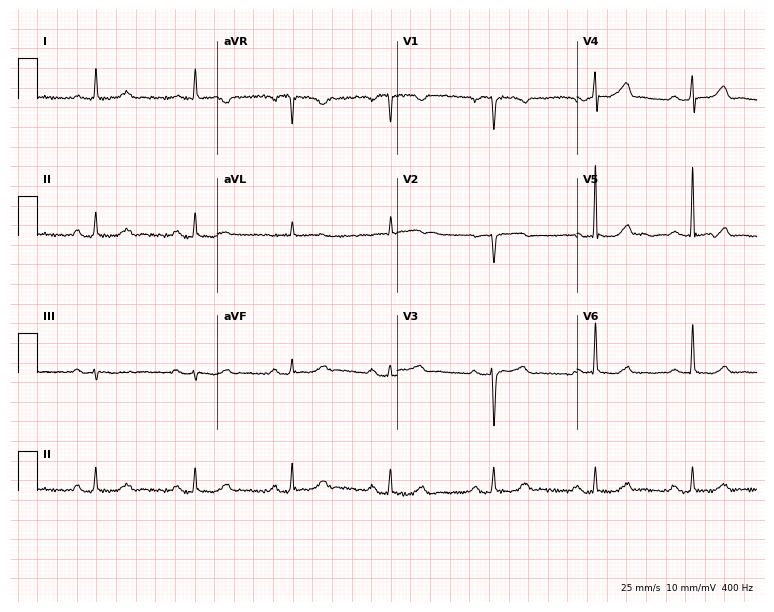
12-lead ECG from a female, 48 years old (7.3-second recording at 400 Hz). Recorded interpretation: within normal limits.